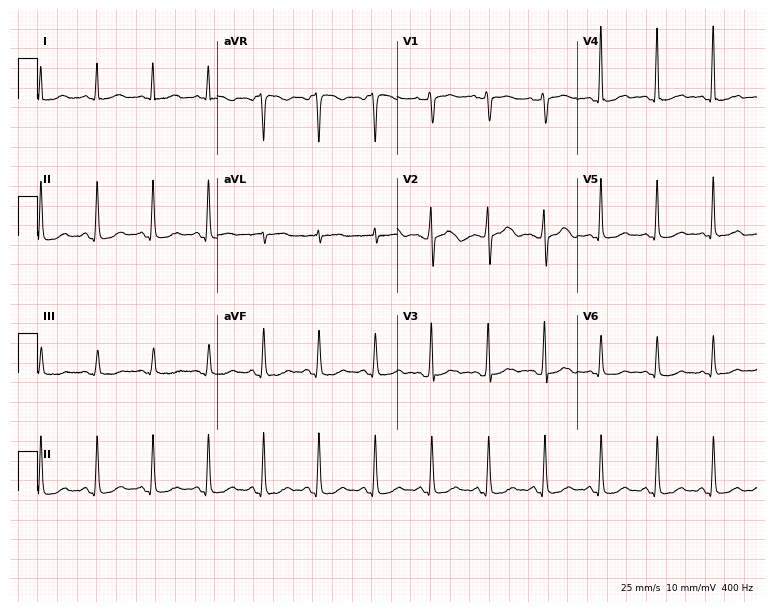
Electrocardiogram (7.3-second recording at 400 Hz), a 40-year-old female. Interpretation includes sinus tachycardia (a sinus rate of 100 beats per minute or more).